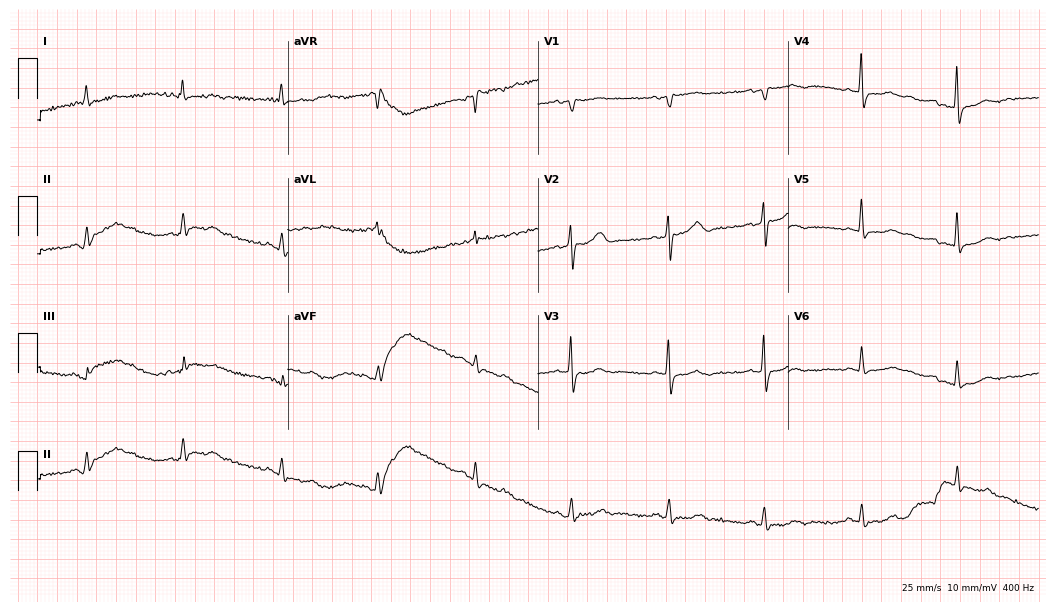
Resting 12-lead electrocardiogram. Patient: a 76-year-old female. Read as a normal ECG.